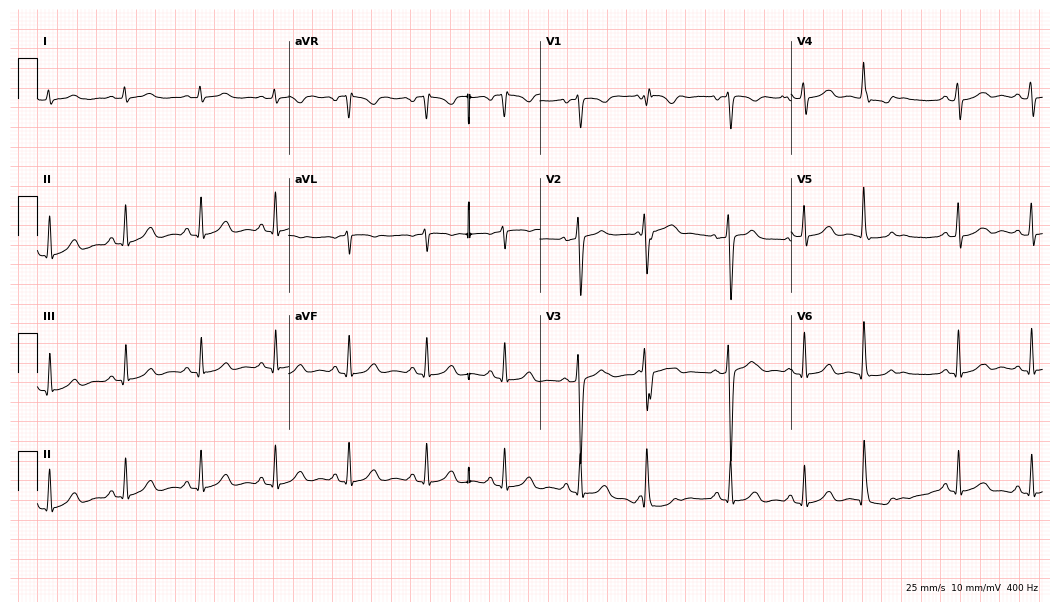
Standard 12-lead ECG recorded from a 39-year-old female. None of these six findings is recorded: first-degree AV block, right bundle branch block, left bundle branch block, sinus bradycardia, atrial fibrillation, sinus tachycardia. Other findings, if any, are not listed.